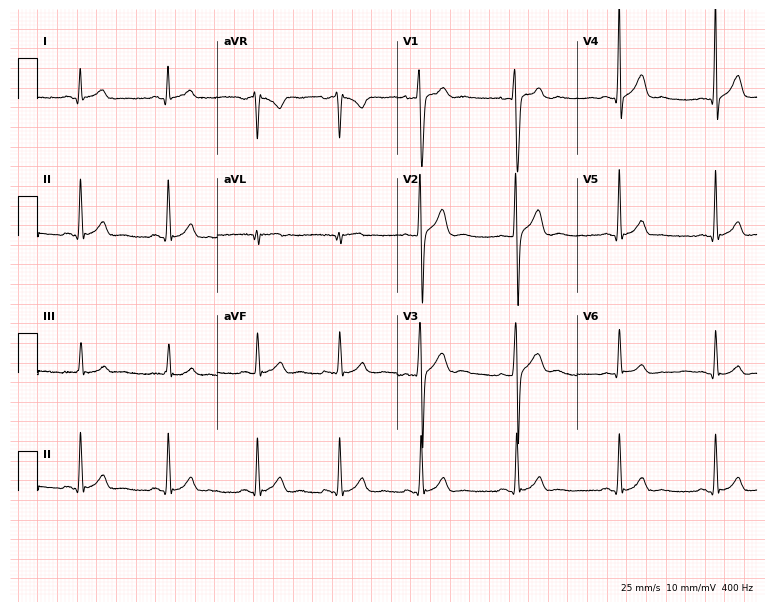
Electrocardiogram, a 19-year-old man. Overall reading on record: normal ECG.